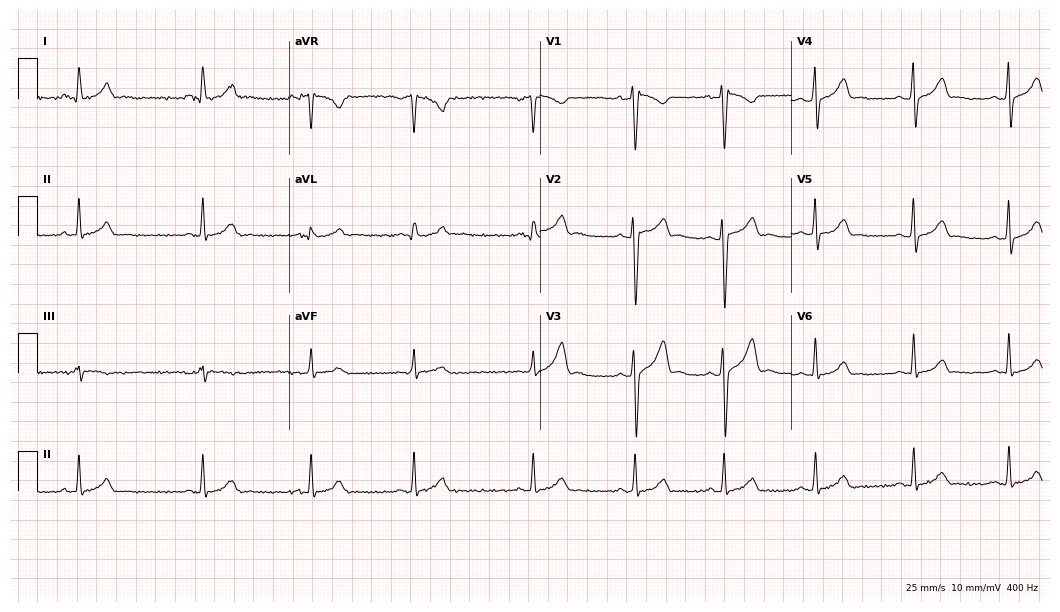
12-lead ECG from a male, 23 years old (10.2-second recording at 400 Hz). Recorded interpretation: within normal limits.